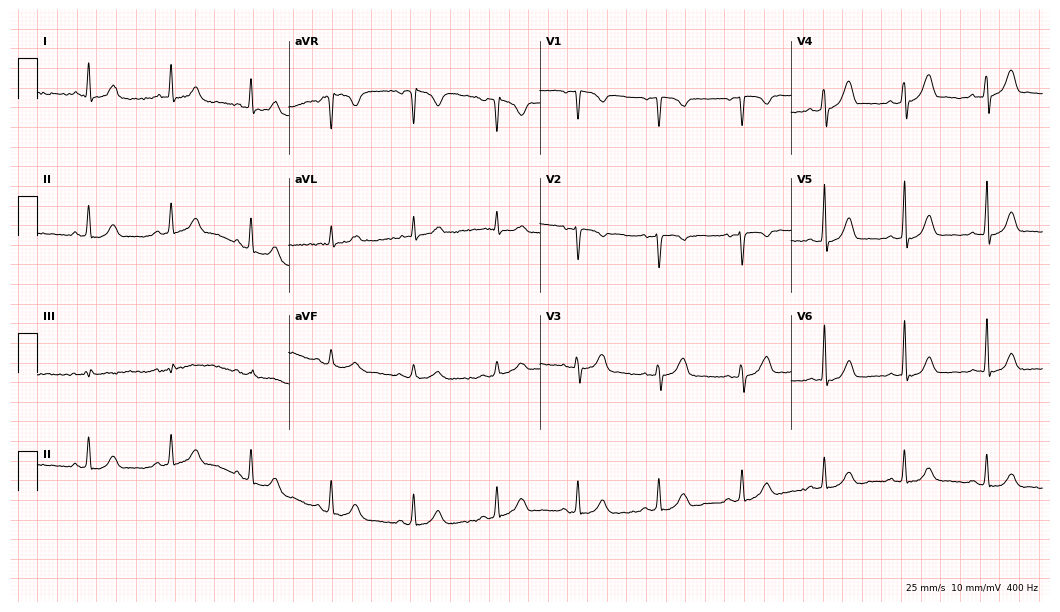
12-lead ECG from a female patient, 37 years old (10.2-second recording at 400 Hz). Recorded interpretation: within normal limits.